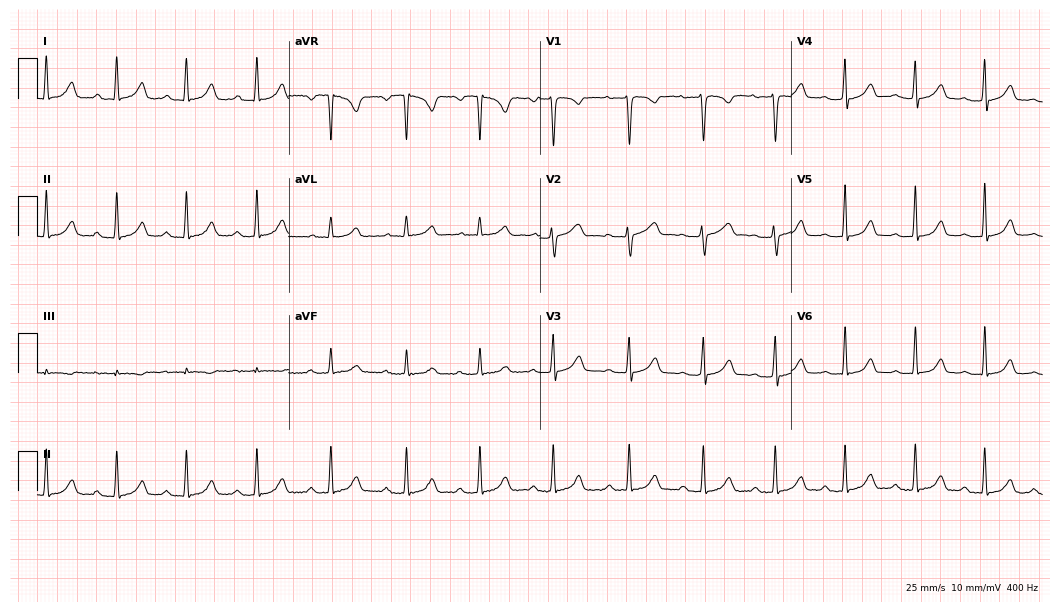
Resting 12-lead electrocardiogram (10.2-second recording at 400 Hz). Patient: a 38-year-old female. The tracing shows first-degree AV block.